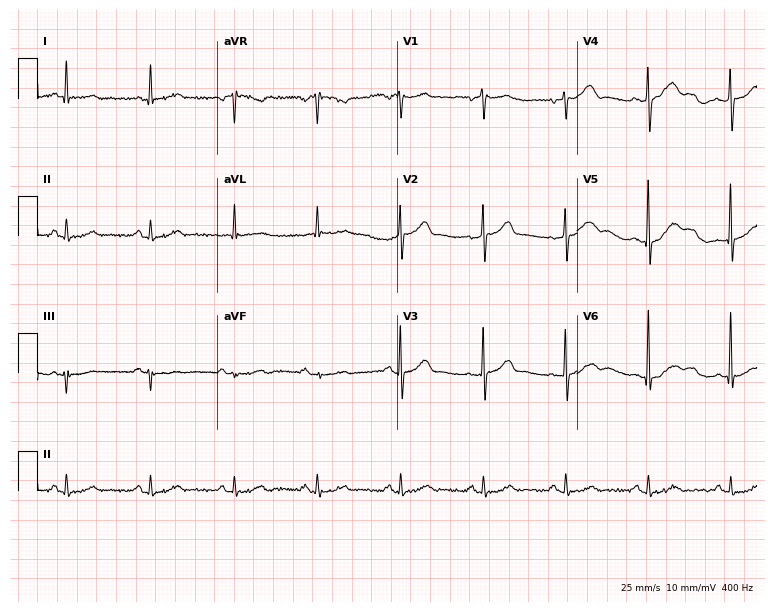
12-lead ECG from a male, 69 years old. Labelled as a normal ECG.